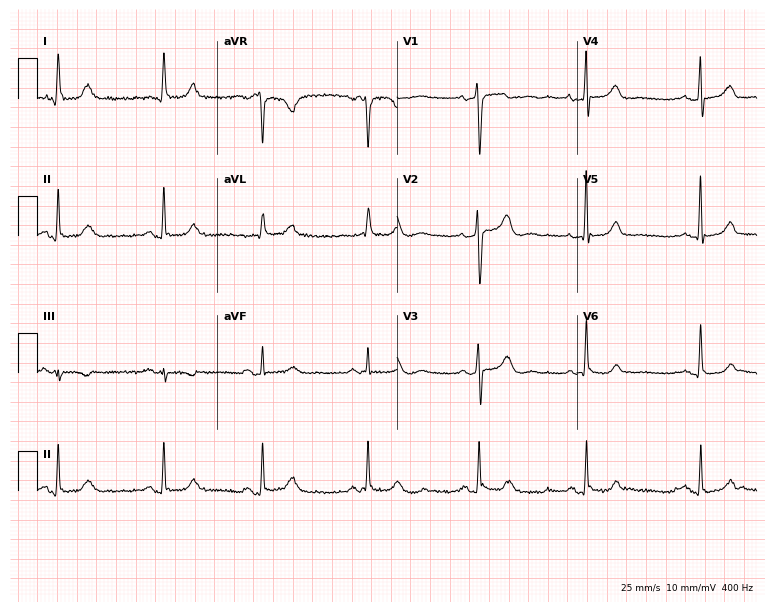
12-lead ECG from a woman, 64 years old (7.3-second recording at 400 Hz). Recorded interpretation: within normal limits.